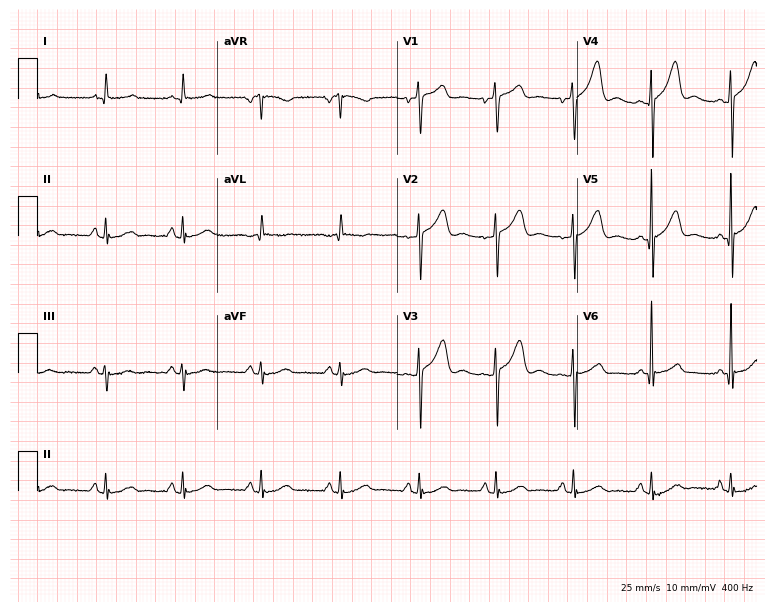
Electrocardiogram (7.3-second recording at 400 Hz), an 80-year-old woman. Overall reading on record: normal ECG.